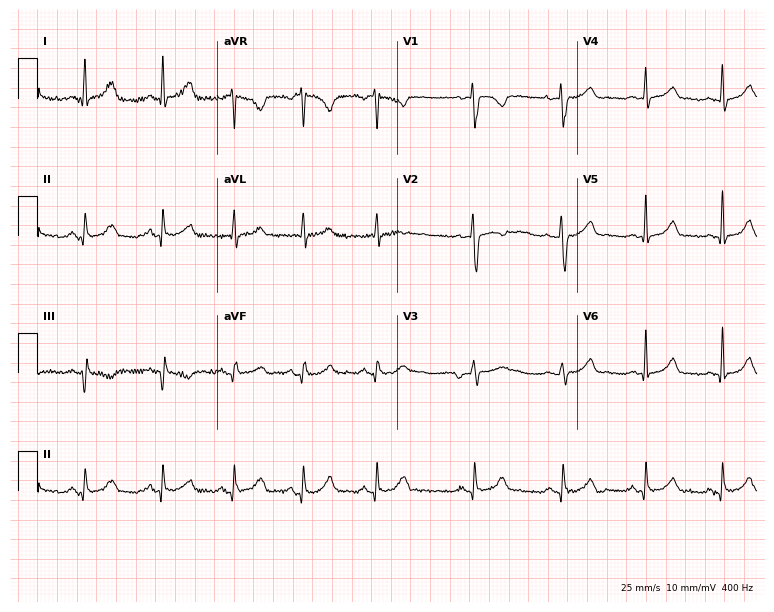
ECG — a 29-year-old female. Labelled as a normal ECG.